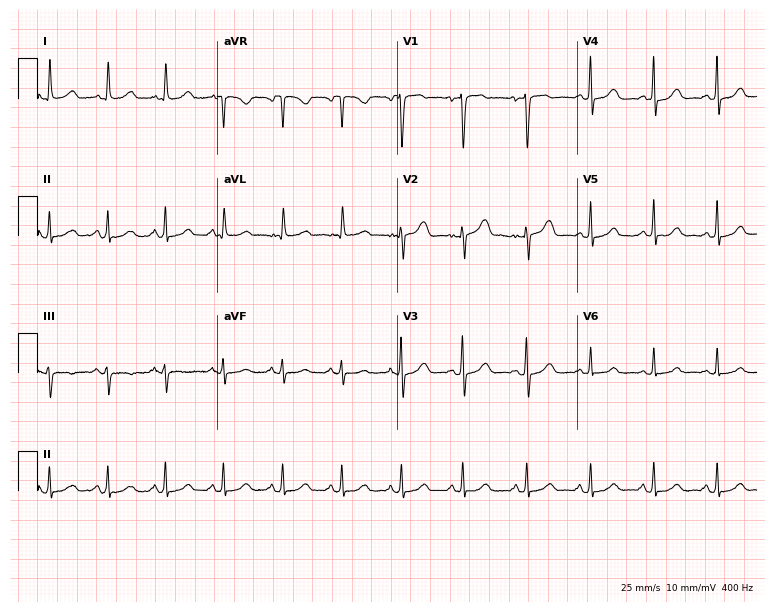
12-lead ECG from a 44-year-old woman. Labelled as a normal ECG.